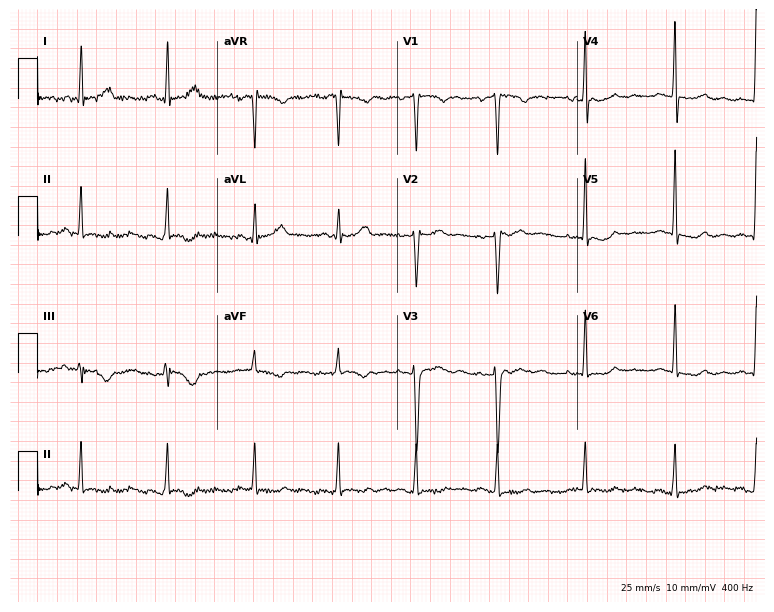
12-lead ECG from a female patient, 30 years old (7.3-second recording at 400 Hz). No first-degree AV block, right bundle branch block (RBBB), left bundle branch block (LBBB), sinus bradycardia, atrial fibrillation (AF) or sinus tachycardia recorded for this tracing. Findings outside these six are not listed.